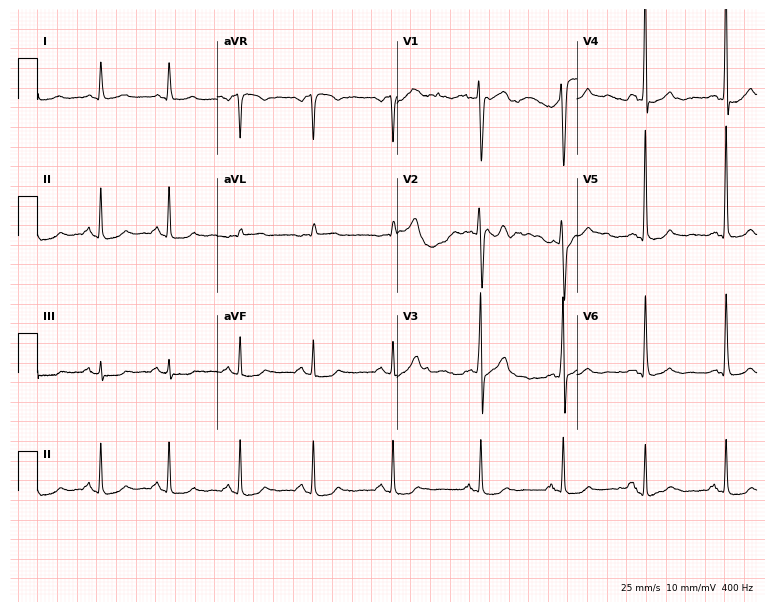
Electrocardiogram, a male patient, 62 years old. Of the six screened findings (first-degree AV block, right bundle branch block, left bundle branch block, sinus bradycardia, atrial fibrillation, sinus tachycardia), none is recorded.